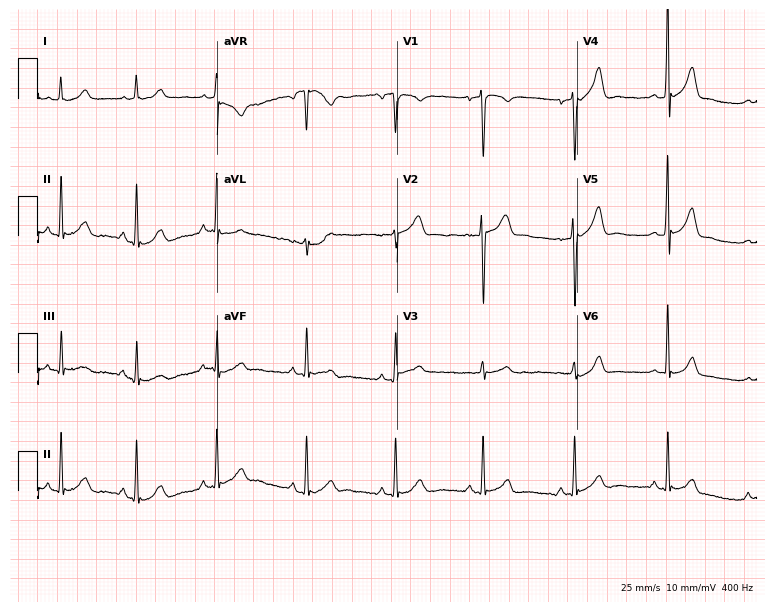
Electrocardiogram (7.3-second recording at 400 Hz), a 24-year-old male. Of the six screened findings (first-degree AV block, right bundle branch block, left bundle branch block, sinus bradycardia, atrial fibrillation, sinus tachycardia), none is recorded. Other findings, if any, are not listed.